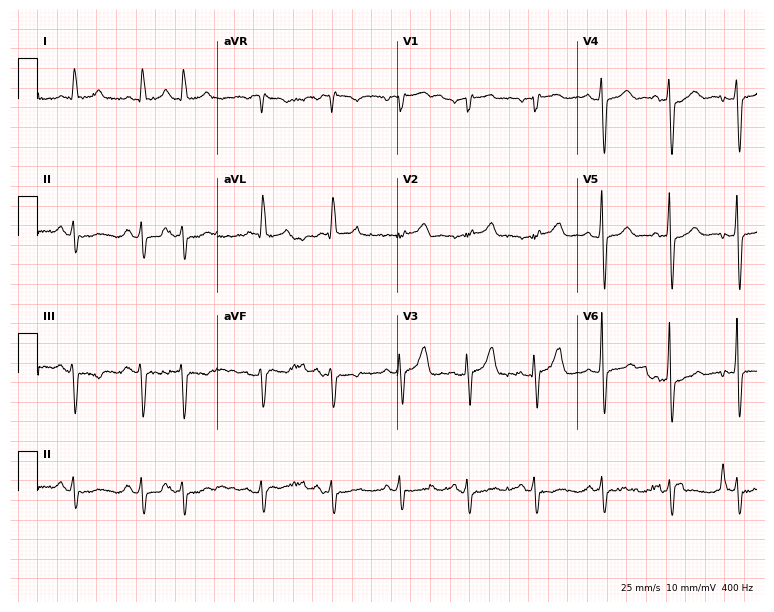
Standard 12-lead ECG recorded from a 77-year-old male. None of these six findings is recorded: first-degree AV block, right bundle branch block (RBBB), left bundle branch block (LBBB), sinus bradycardia, atrial fibrillation (AF), sinus tachycardia.